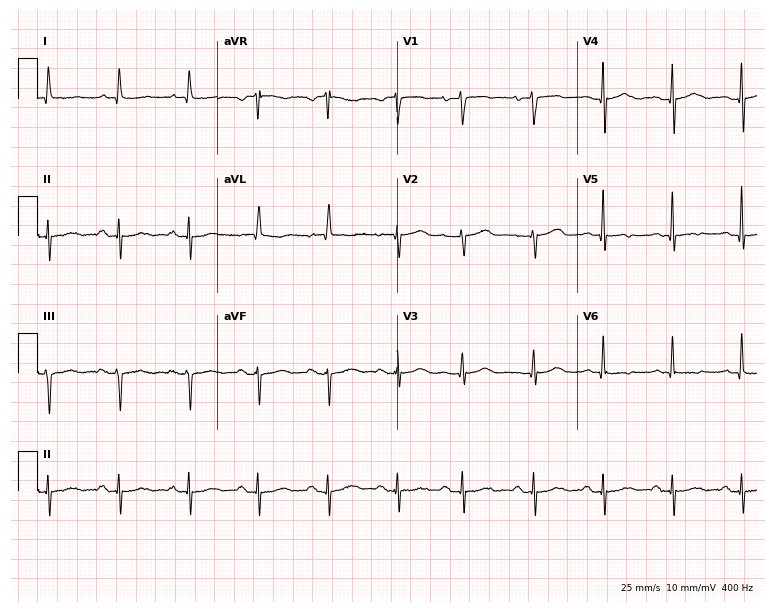
Resting 12-lead electrocardiogram. Patient: a 72-year-old woman. None of these six findings is recorded: first-degree AV block, right bundle branch block (RBBB), left bundle branch block (LBBB), sinus bradycardia, atrial fibrillation (AF), sinus tachycardia. Findings outside these six are not listed.